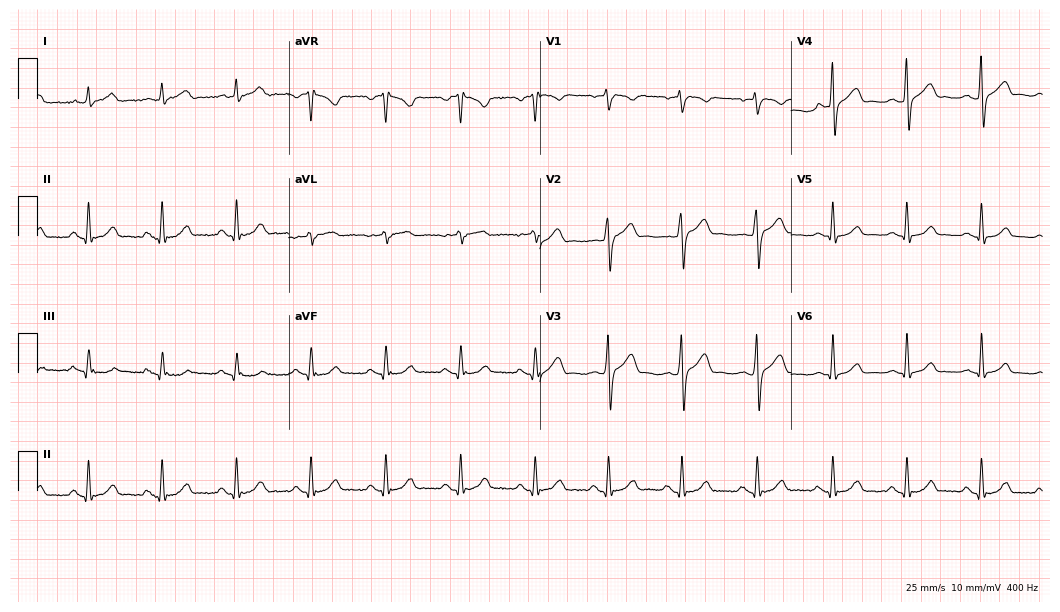
Resting 12-lead electrocardiogram. Patient: a male, 28 years old. Read as a normal ECG.